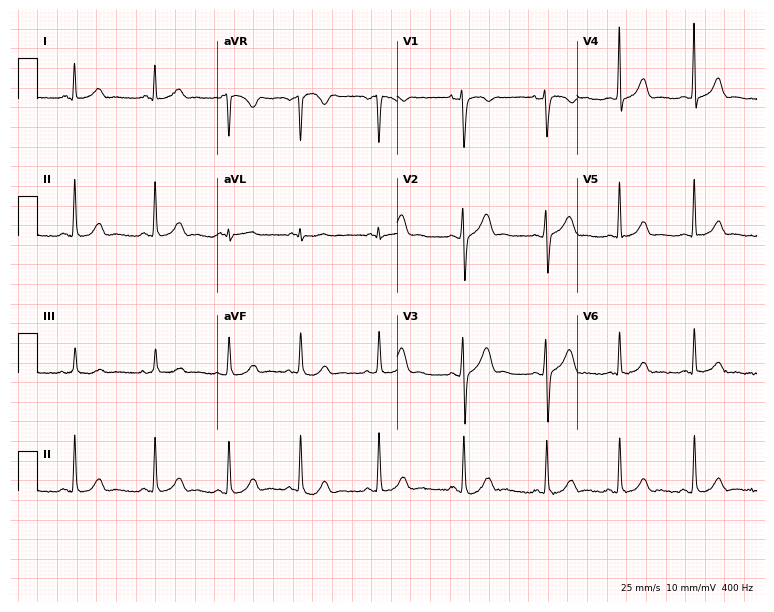
Resting 12-lead electrocardiogram (7.3-second recording at 400 Hz). Patient: a woman, 29 years old. Read as a normal ECG.